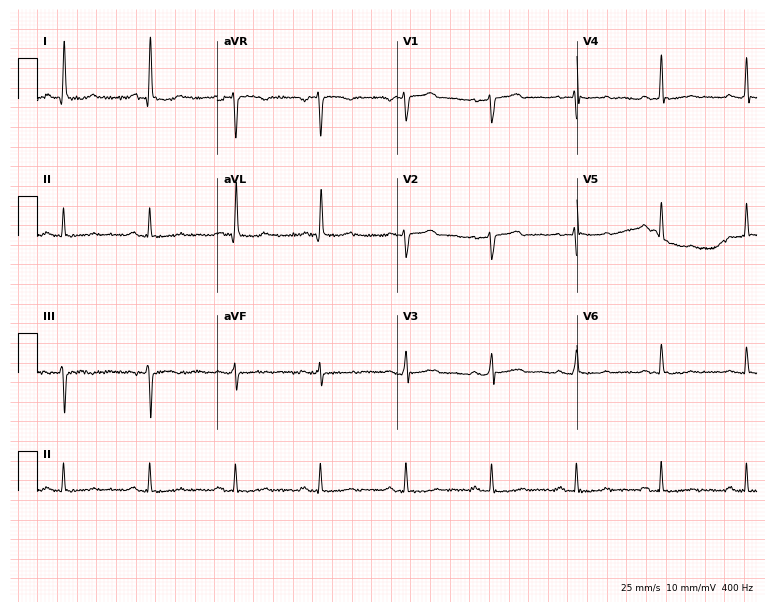
Standard 12-lead ECG recorded from a 55-year-old female (7.3-second recording at 400 Hz). None of these six findings is recorded: first-degree AV block, right bundle branch block, left bundle branch block, sinus bradycardia, atrial fibrillation, sinus tachycardia.